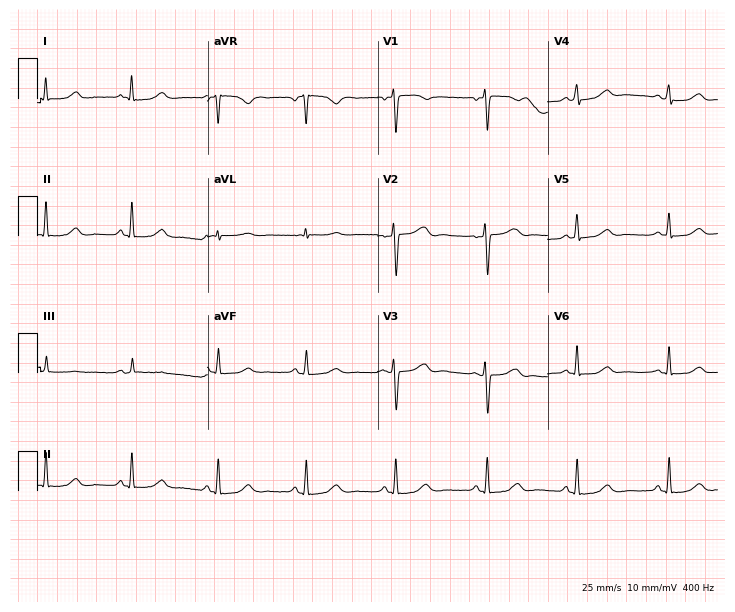
12-lead ECG from a 53-year-old woman (6.9-second recording at 400 Hz). Recorded interpretation: within normal limits.